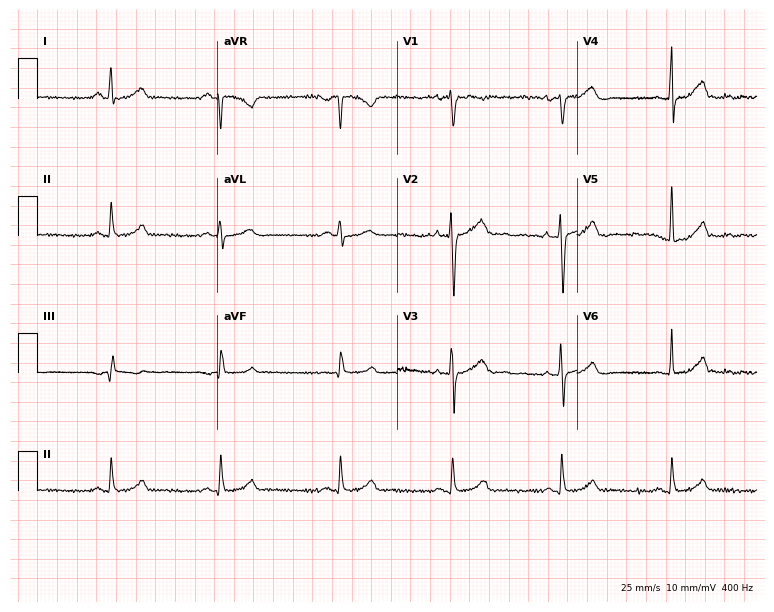
12-lead ECG from a woman, 38 years old. Screened for six findings — first-degree AV block, right bundle branch block, left bundle branch block, sinus bradycardia, atrial fibrillation, sinus tachycardia — none is recorded. Other findings, if any, are not listed.